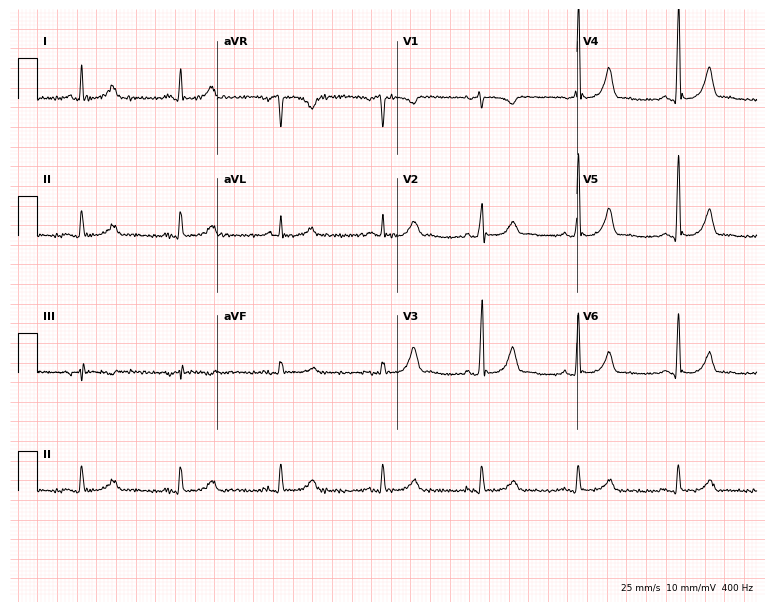
Electrocardiogram, a 55-year-old male patient. Of the six screened findings (first-degree AV block, right bundle branch block, left bundle branch block, sinus bradycardia, atrial fibrillation, sinus tachycardia), none is recorded. Only these six findings were labelled.